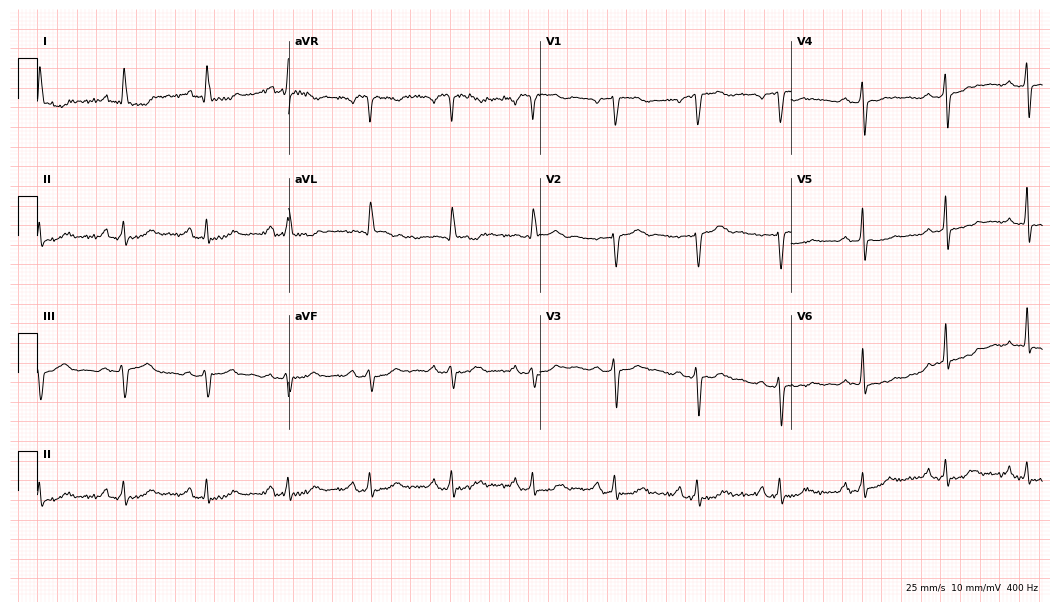
12-lead ECG from a female, 71 years old (10.2-second recording at 400 Hz). No first-degree AV block, right bundle branch block (RBBB), left bundle branch block (LBBB), sinus bradycardia, atrial fibrillation (AF) or sinus tachycardia recorded for this tracing. Only these six findings were labelled.